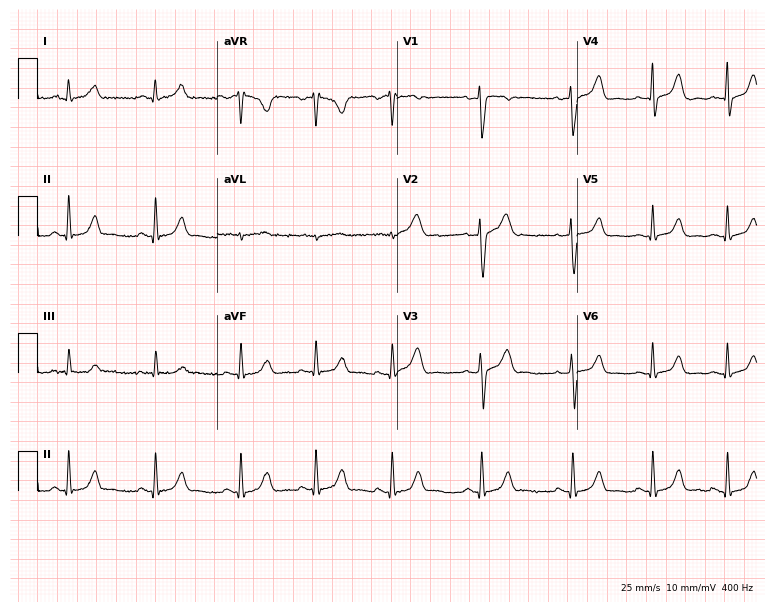
Standard 12-lead ECG recorded from a 41-year-old female patient. Read as a normal ECG.